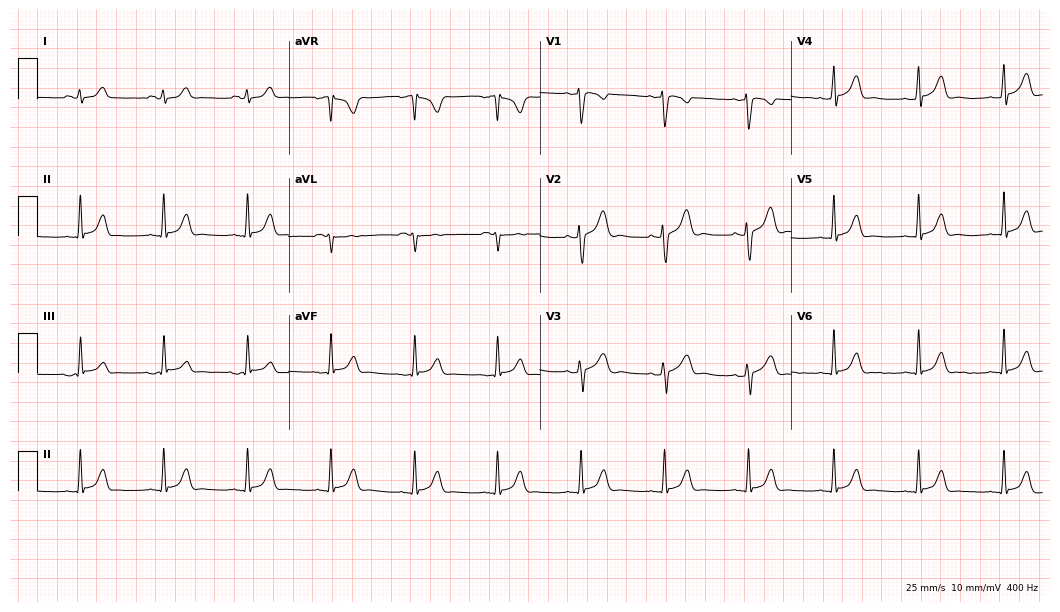
Standard 12-lead ECG recorded from a female patient, 21 years old. Read as a normal ECG.